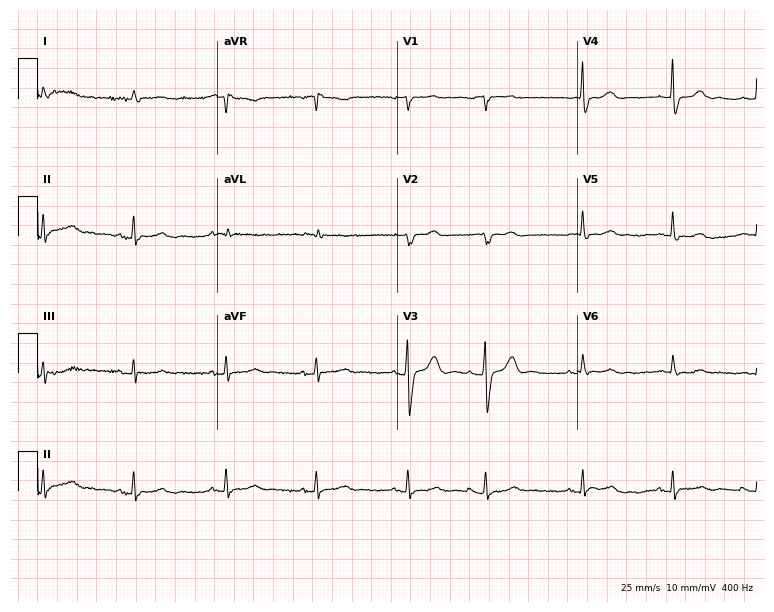
Resting 12-lead electrocardiogram. Patient: a 76-year-old male. Read as a normal ECG.